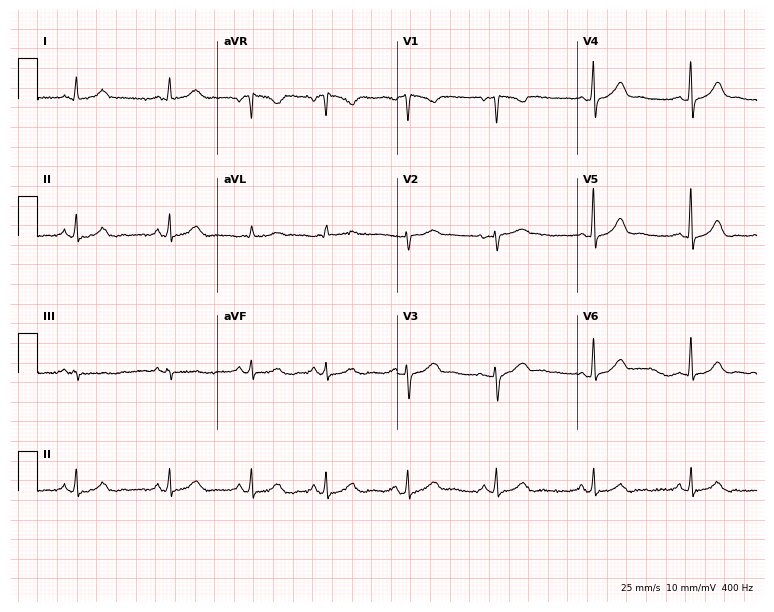
12-lead ECG from a man, 43 years old. Recorded interpretation: within normal limits.